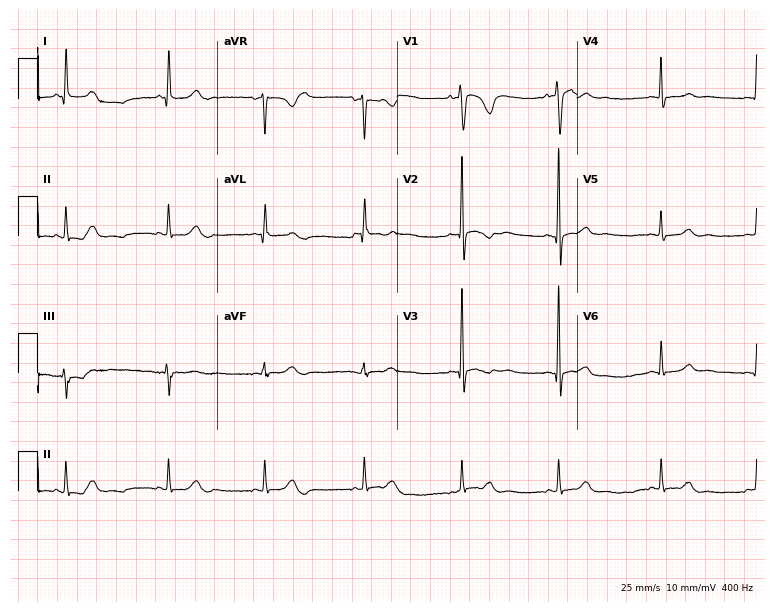
12-lead ECG from a 34-year-old woman. Screened for six findings — first-degree AV block, right bundle branch block (RBBB), left bundle branch block (LBBB), sinus bradycardia, atrial fibrillation (AF), sinus tachycardia — none is recorded.